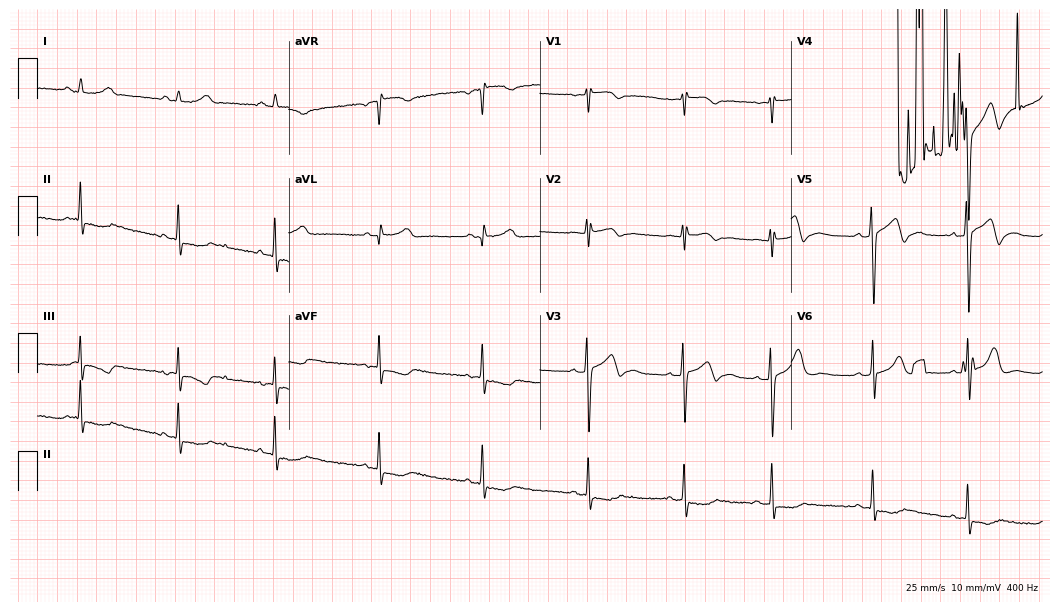
Electrocardiogram, a 24-year-old male. Of the six screened findings (first-degree AV block, right bundle branch block (RBBB), left bundle branch block (LBBB), sinus bradycardia, atrial fibrillation (AF), sinus tachycardia), none is recorded. Findings outside these six are not listed.